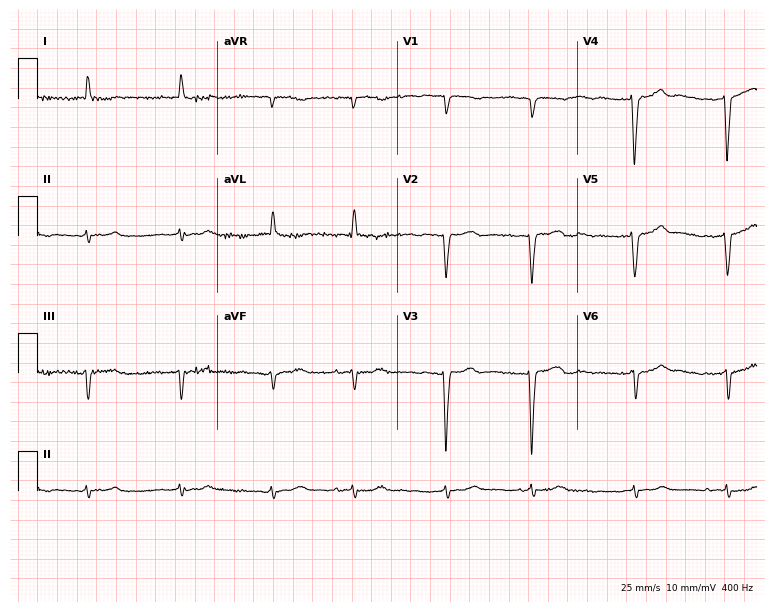
12-lead ECG (7.3-second recording at 400 Hz) from a 22-year-old male patient. Screened for six findings — first-degree AV block, right bundle branch block, left bundle branch block, sinus bradycardia, atrial fibrillation, sinus tachycardia — none is recorded. Only these six findings were labelled.